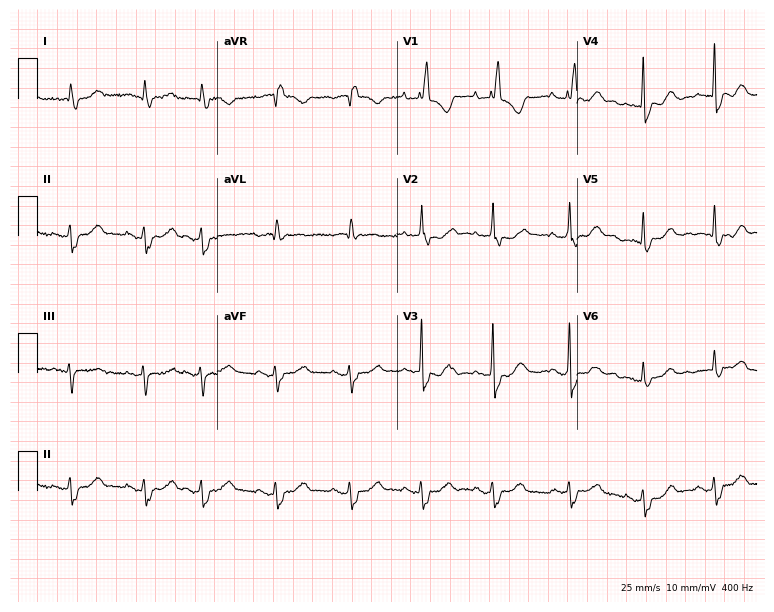
Electrocardiogram (7.3-second recording at 400 Hz), a 79-year-old woman. Interpretation includes right bundle branch block (RBBB).